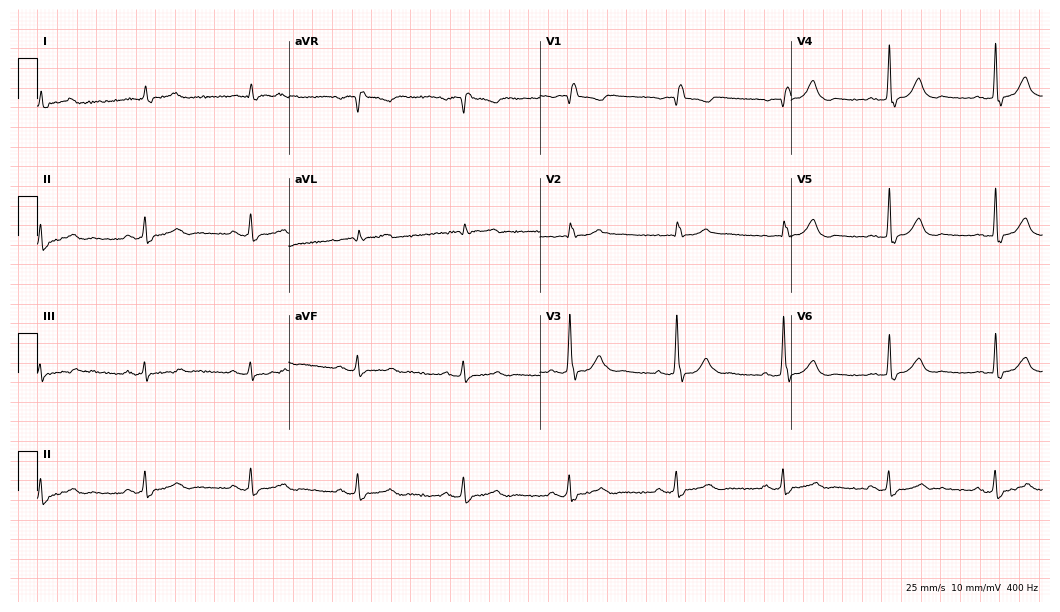
ECG — an 80-year-old male patient. Screened for six findings — first-degree AV block, right bundle branch block (RBBB), left bundle branch block (LBBB), sinus bradycardia, atrial fibrillation (AF), sinus tachycardia — none is recorded.